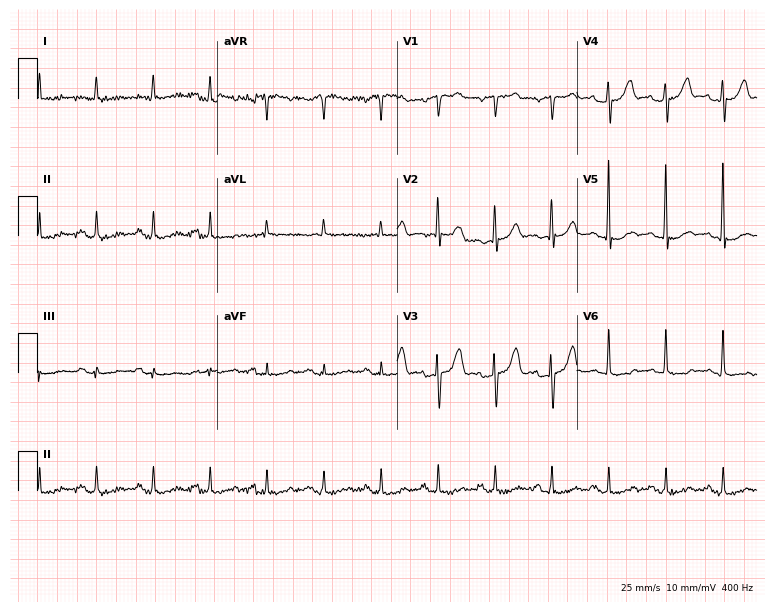
12-lead ECG from a male, 78 years old. Shows sinus tachycardia (a sinus rate of 100 beats per minute or more).